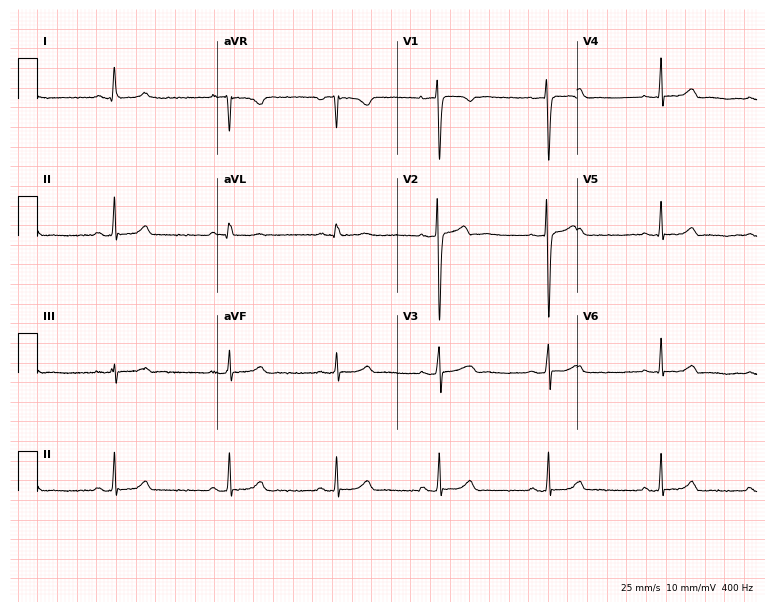
12-lead ECG (7.3-second recording at 400 Hz) from a female, 23 years old. Labelled as a normal ECG.